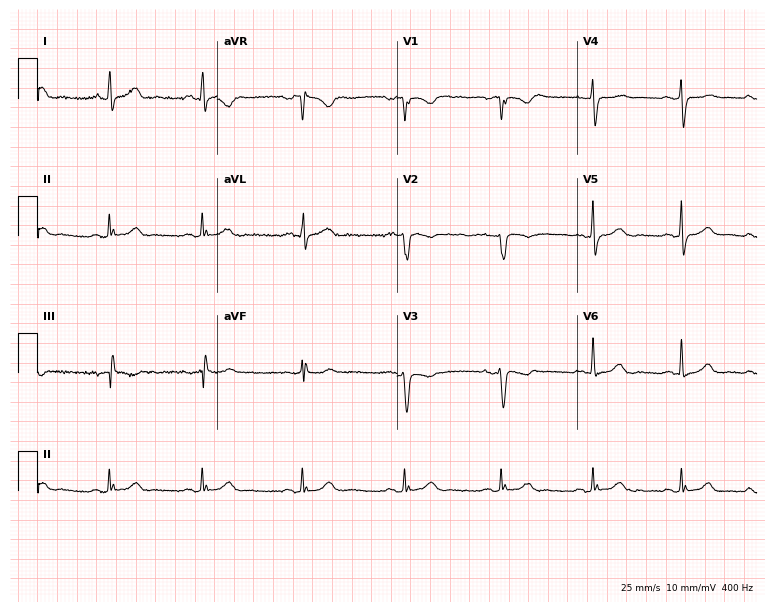
Electrocardiogram (7.3-second recording at 400 Hz), a 47-year-old woman. Of the six screened findings (first-degree AV block, right bundle branch block (RBBB), left bundle branch block (LBBB), sinus bradycardia, atrial fibrillation (AF), sinus tachycardia), none is recorded. Findings outside these six are not listed.